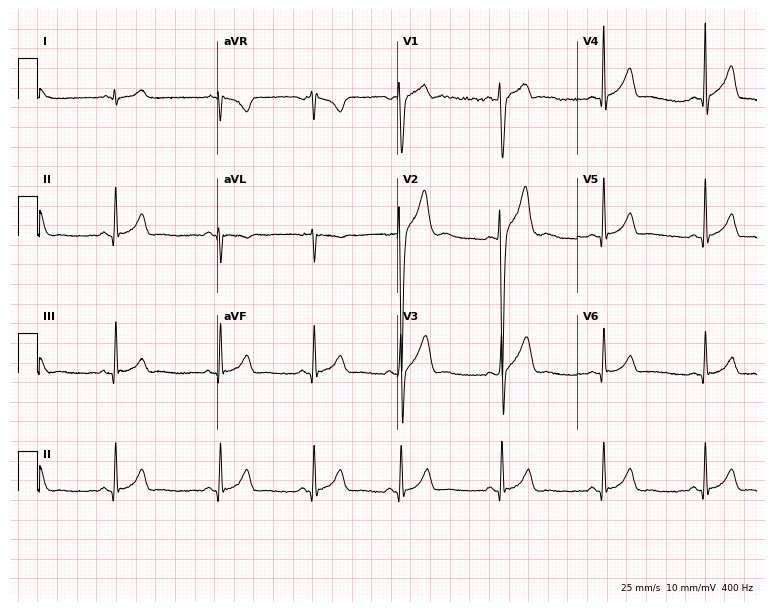
Resting 12-lead electrocardiogram (7.3-second recording at 400 Hz). Patient: a man, 22 years old. Read as a normal ECG.